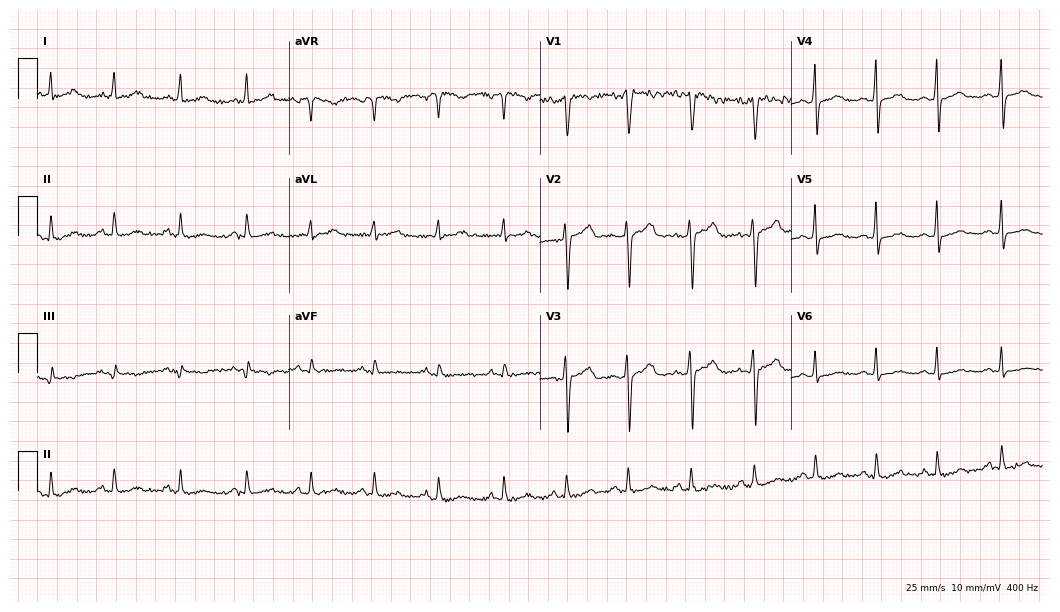
Resting 12-lead electrocardiogram (10.2-second recording at 400 Hz). Patient: a female, 37 years old. Read as a normal ECG.